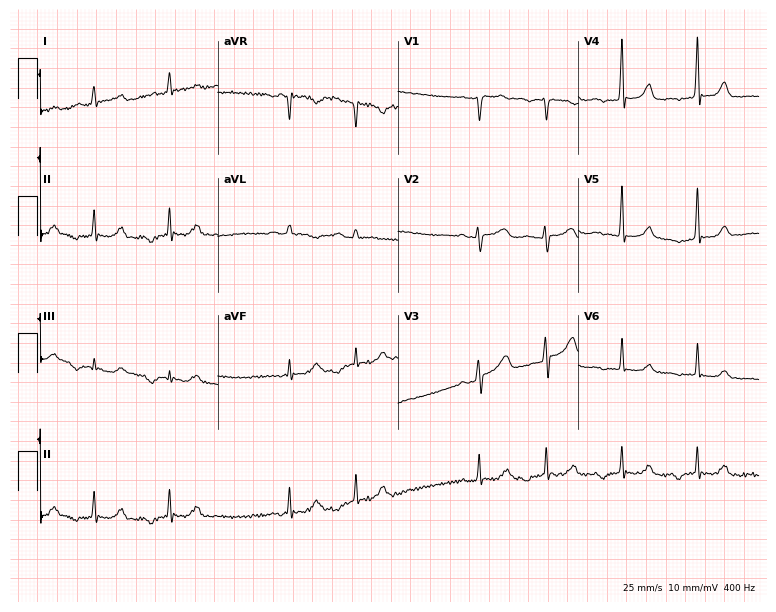
Electrocardiogram (7.4-second recording at 400 Hz), a 56-year-old woman. Of the six screened findings (first-degree AV block, right bundle branch block, left bundle branch block, sinus bradycardia, atrial fibrillation, sinus tachycardia), none is recorded.